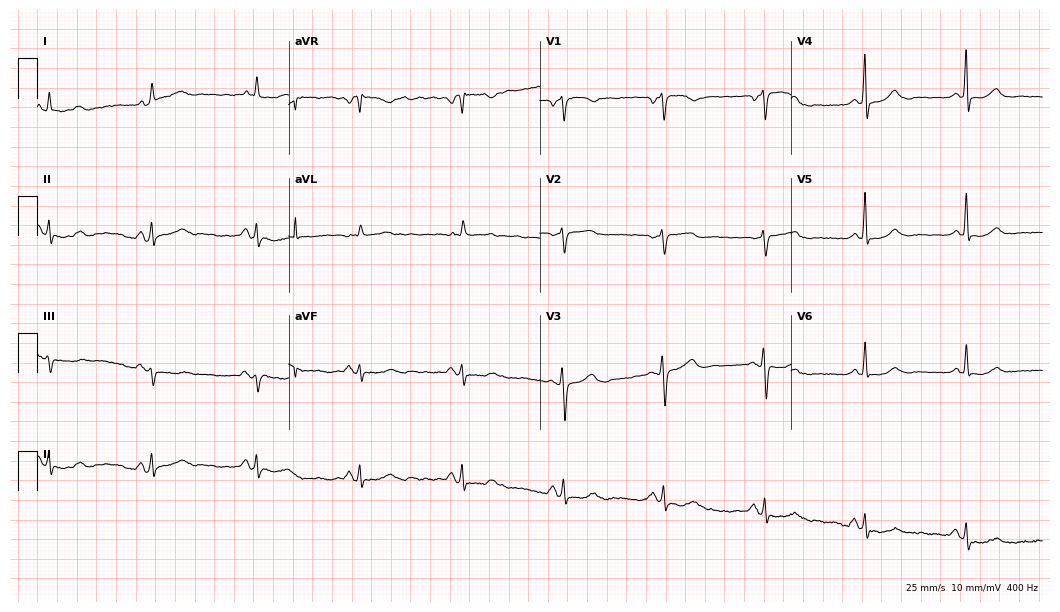
Electrocardiogram (10.2-second recording at 400 Hz), a man, 81 years old. Overall reading on record: normal ECG.